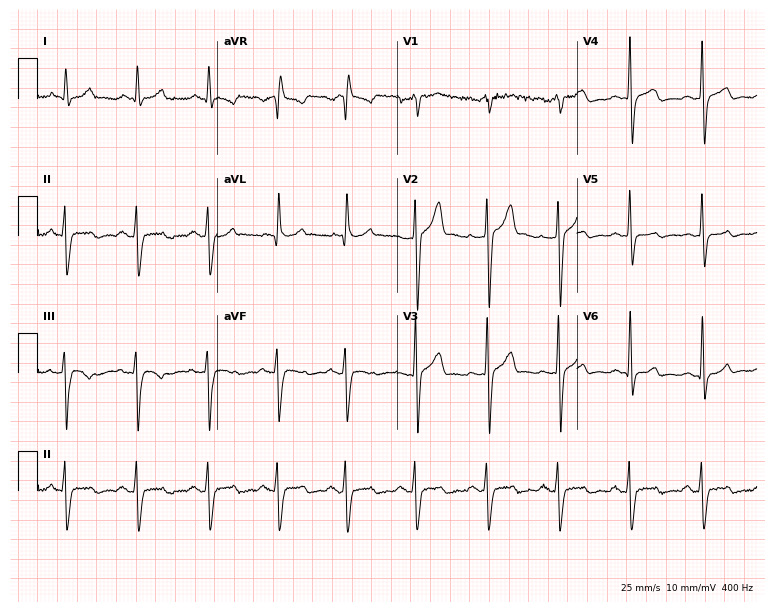
12-lead ECG from a 43-year-old man. No first-degree AV block, right bundle branch block, left bundle branch block, sinus bradycardia, atrial fibrillation or sinus tachycardia recorded for this tracing. Only these six findings were labelled.